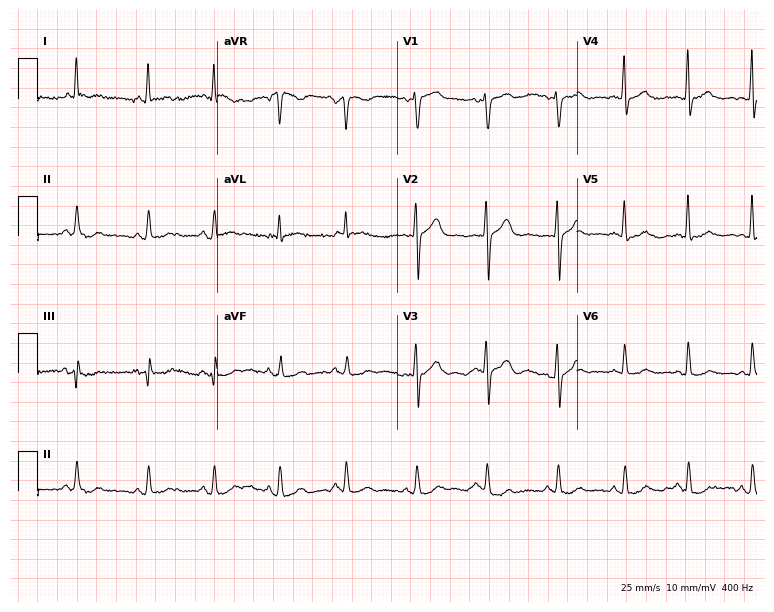
12-lead ECG from a 51-year-old female (7.3-second recording at 400 Hz). No first-degree AV block, right bundle branch block, left bundle branch block, sinus bradycardia, atrial fibrillation or sinus tachycardia recorded for this tracing. Other findings, if any, are not listed.